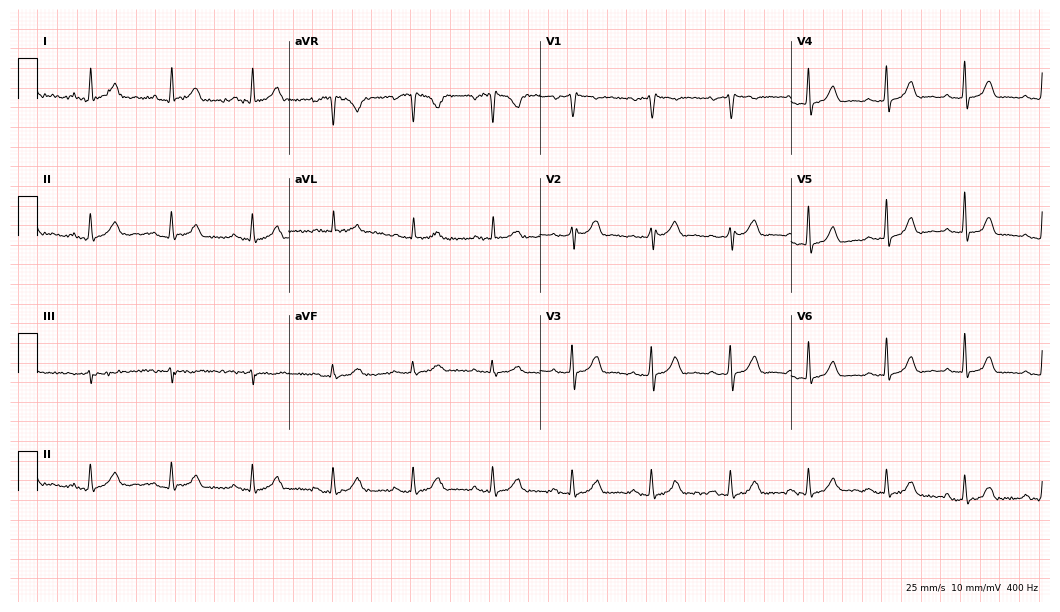
Standard 12-lead ECG recorded from a 69-year-old man. Read as a normal ECG.